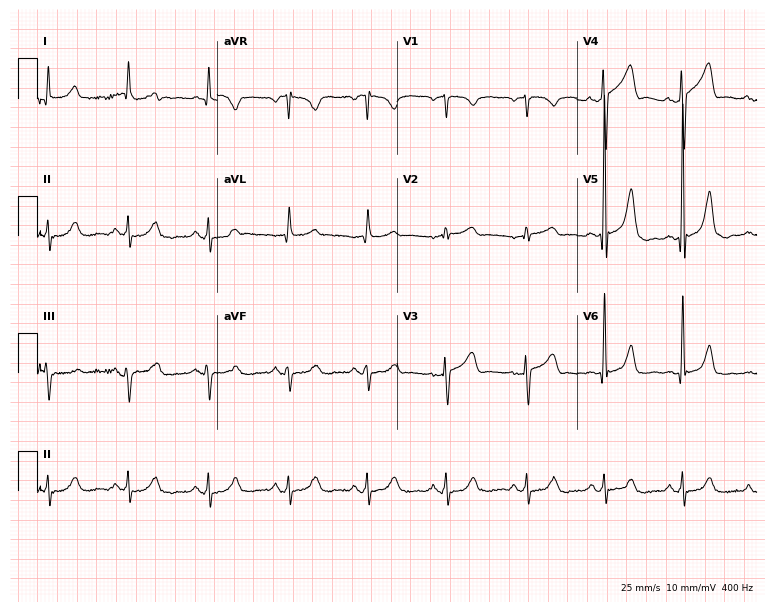
Resting 12-lead electrocardiogram. Patient: a 51-year-old male. Read as a normal ECG.